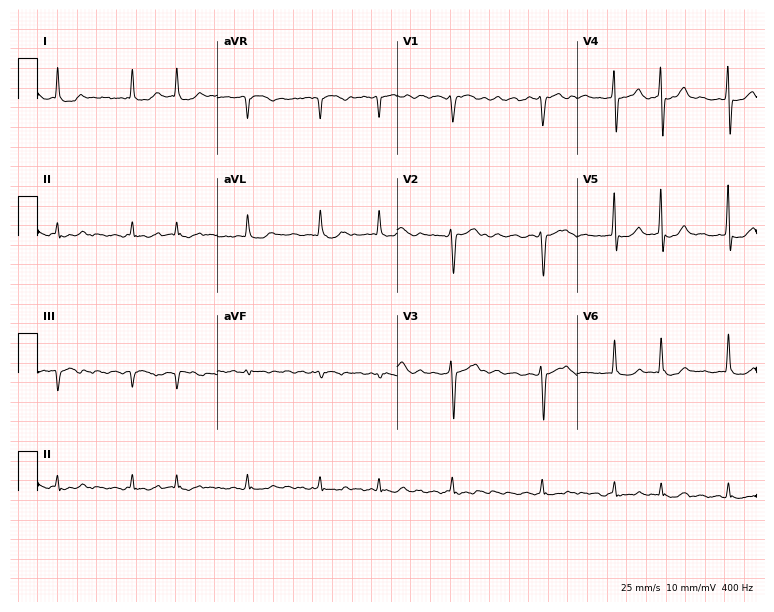
Resting 12-lead electrocardiogram. Patient: a 75-year-old male. The tracing shows atrial fibrillation.